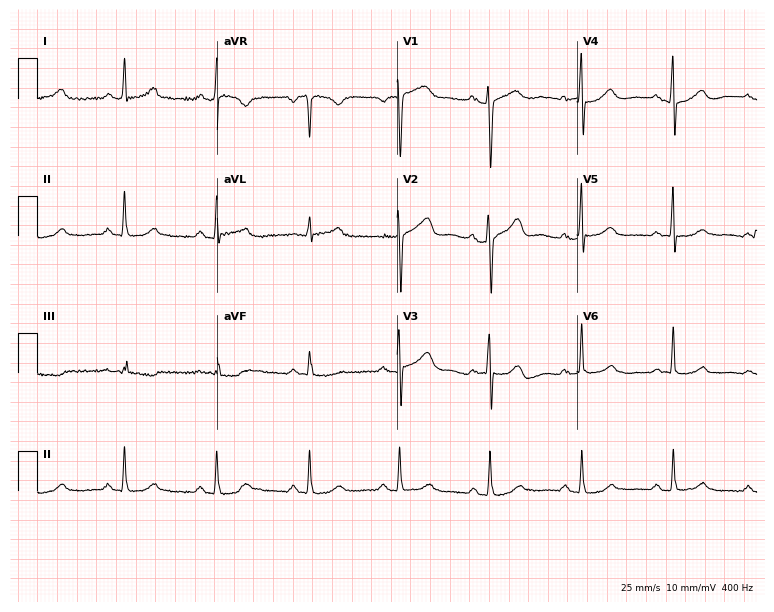
Electrocardiogram, a 63-year-old female. Overall reading on record: normal ECG.